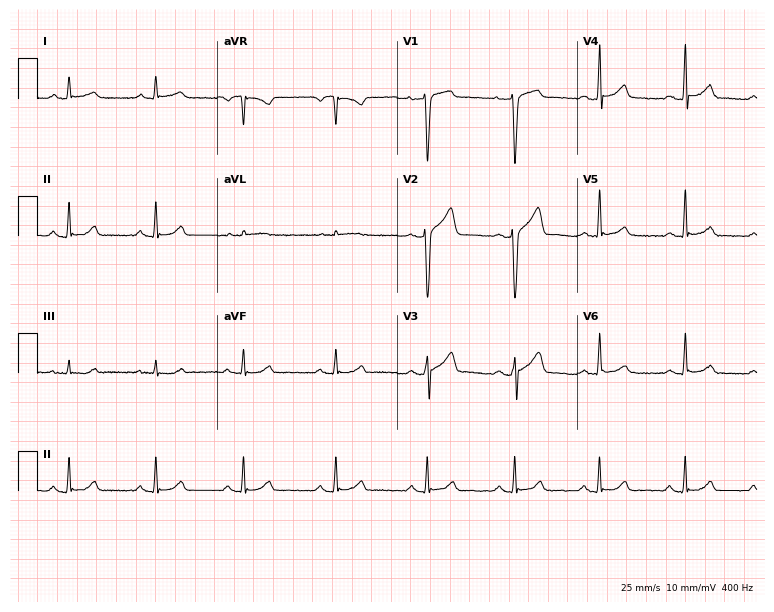
Resting 12-lead electrocardiogram (7.3-second recording at 400 Hz). Patient: a male, 48 years old. None of these six findings is recorded: first-degree AV block, right bundle branch block, left bundle branch block, sinus bradycardia, atrial fibrillation, sinus tachycardia. Only these six findings were labelled.